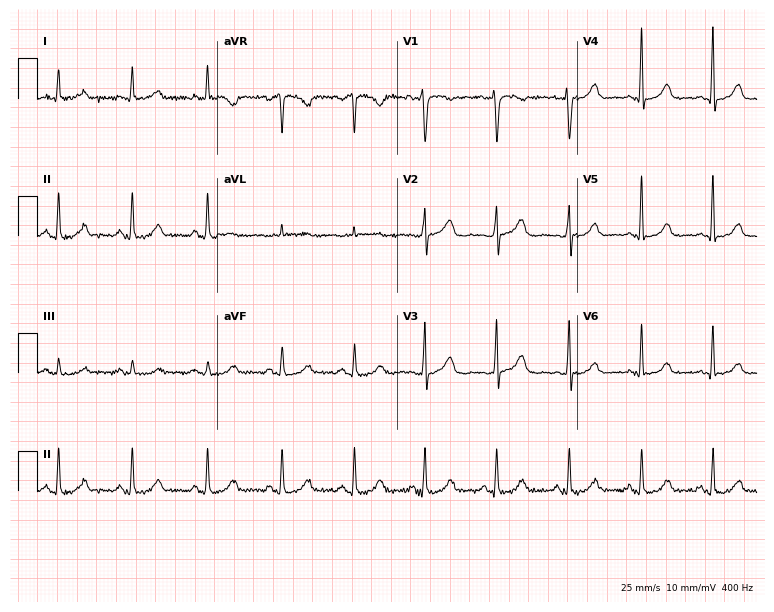
Electrocardiogram, a 38-year-old female patient. Overall reading on record: normal ECG.